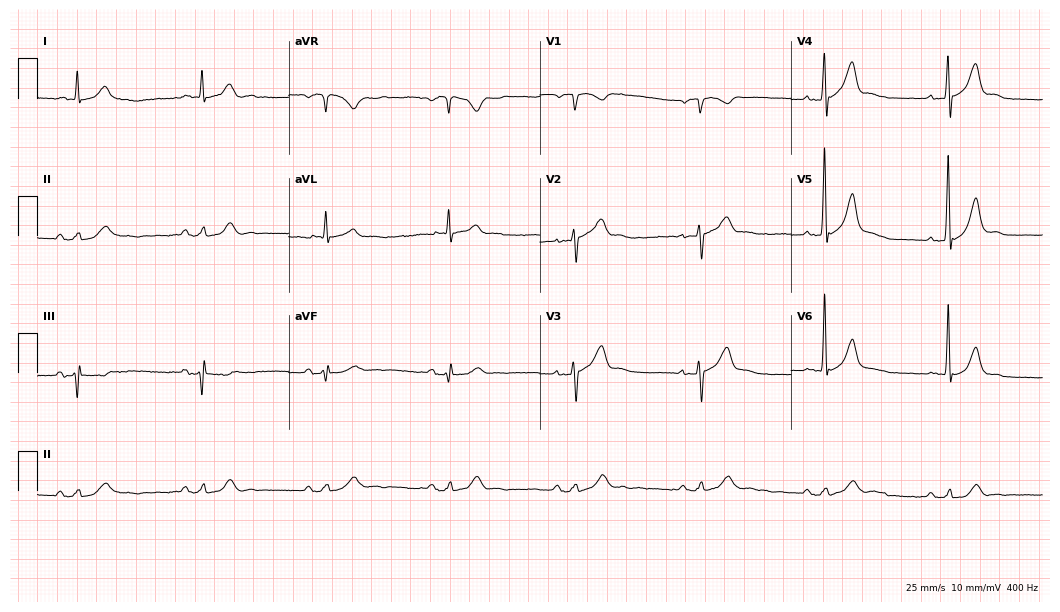
ECG — a 65-year-old male. Findings include sinus bradycardia (a sinus rate of 50 beats per minute or less).